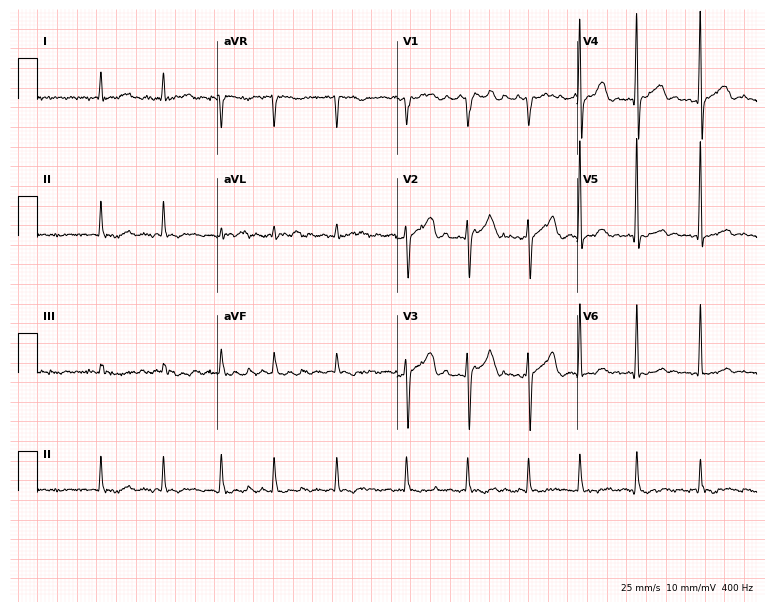
Electrocardiogram, a 77-year-old man. Interpretation includes atrial fibrillation.